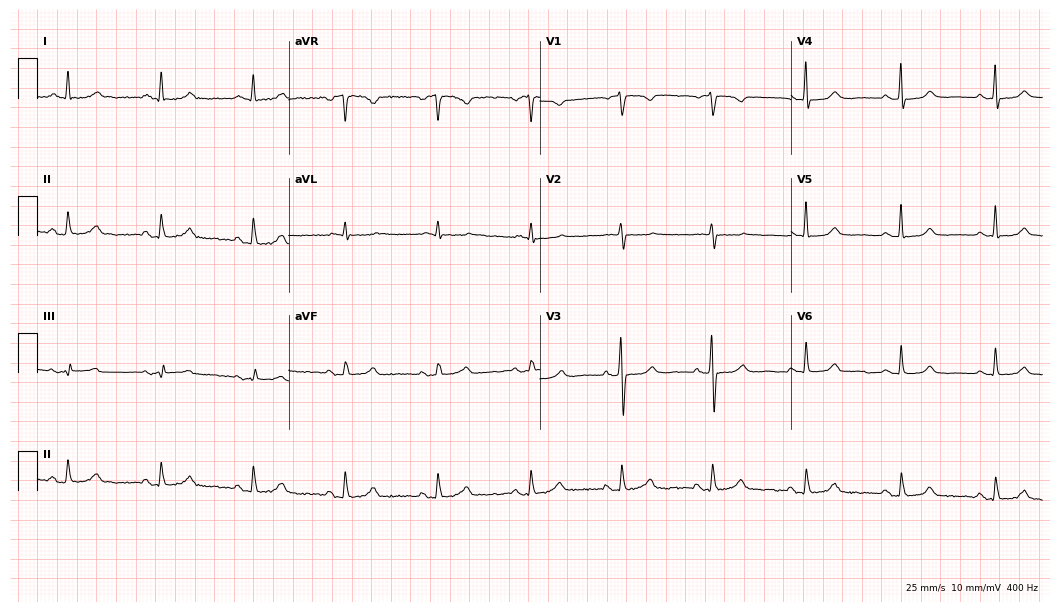
Resting 12-lead electrocardiogram (10.2-second recording at 400 Hz). Patient: a female, 80 years old. Read as a normal ECG.